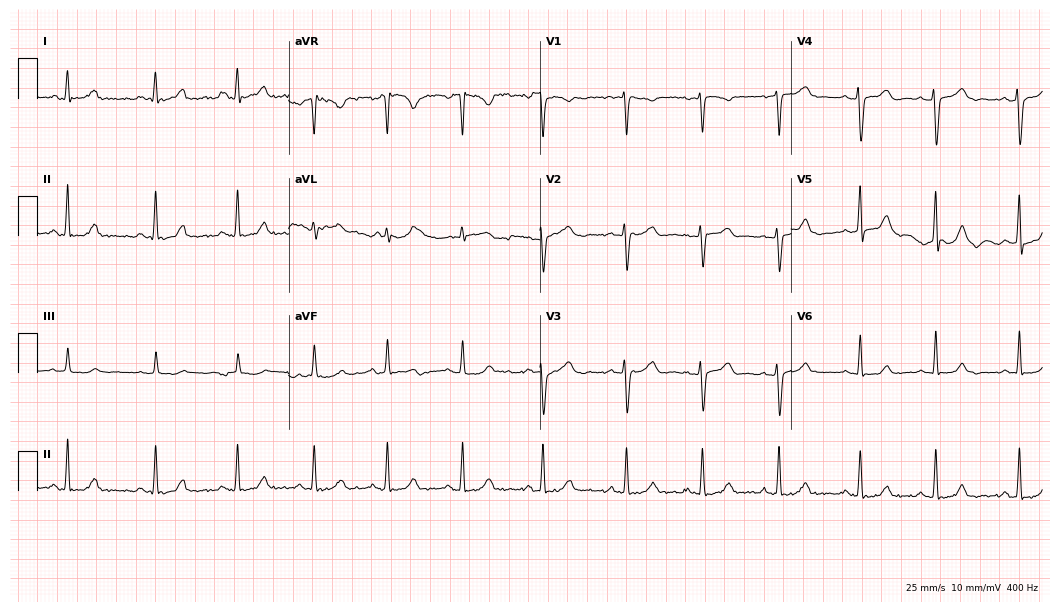
ECG — a 34-year-old woman. Labelled as a normal ECG.